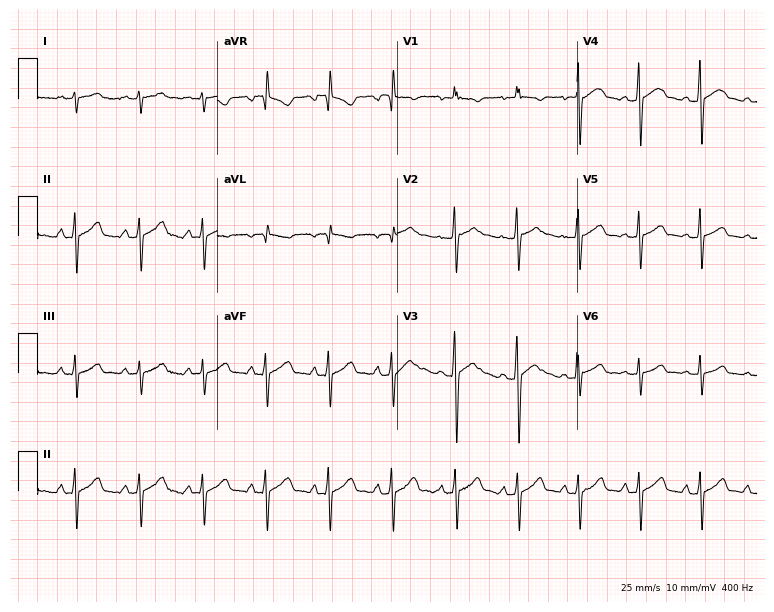
12-lead ECG from a male, 19 years old. No first-degree AV block, right bundle branch block, left bundle branch block, sinus bradycardia, atrial fibrillation or sinus tachycardia recorded for this tracing. Only these six findings were labelled.